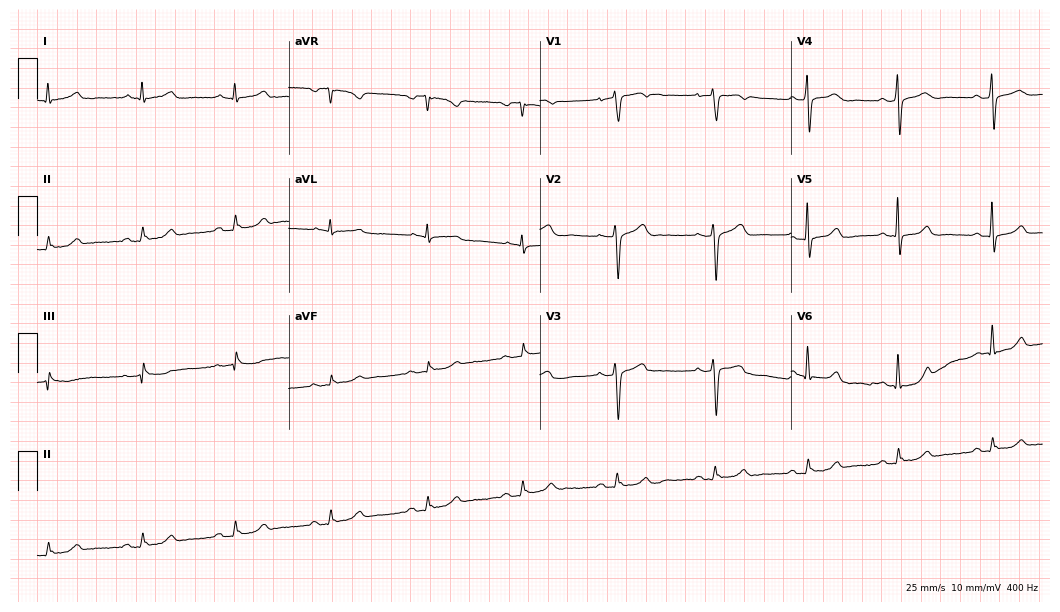
Resting 12-lead electrocardiogram (10.2-second recording at 400 Hz). Patient: a woman, 62 years old. None of these six findings is recorded: first-degree AV block, right bundle branch block, left bundle branch block, sinus bradycardia, atrial fibrillation, sinus tachycardia.